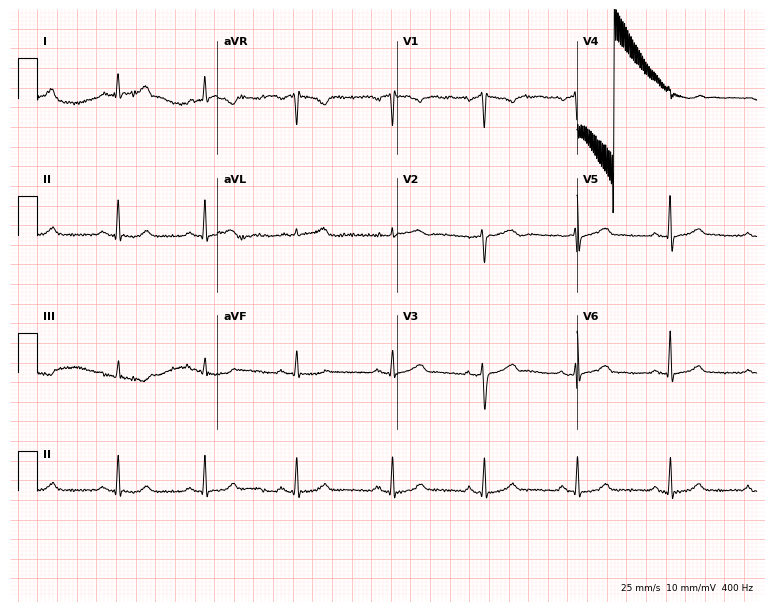
ECG (7.3-second recording at 400 Hz) — a female patient, 46 years old. Labelled as a normal ECG.